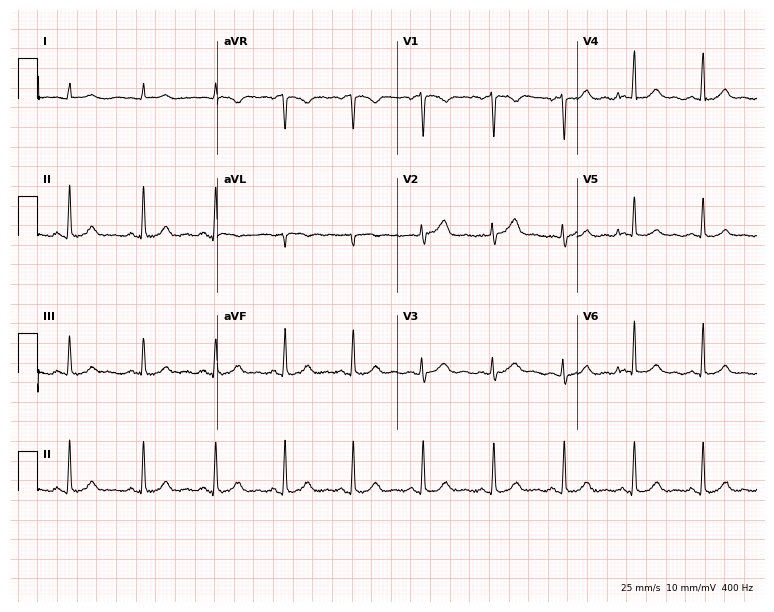
Standard 12-lead ECG recorded from a 28-year-old woman (7.3-second recording at 400 Hz). Read as a normal ECG.